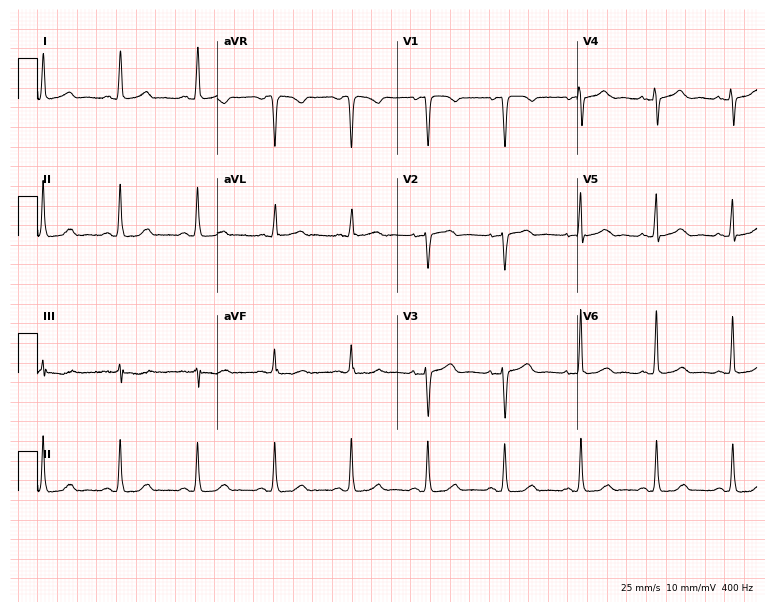
Standard 12-lead ECG recorded from a female, 73 years old (7.3-second recording at 400 Hz). None of these six findings is recorded: first-degree AV block, right bundle branch block, left bundle branch block, sinus bradycardia, atrial fibrillation, sinus tachycardia.